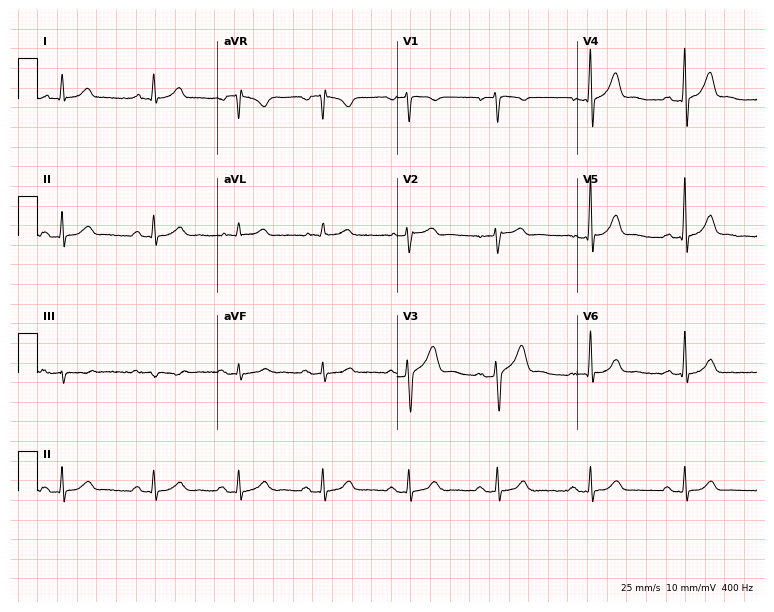
ECG (7.3-second recording at 400 Hz) — a man, 38 years old. Labelled as a normal ECG.